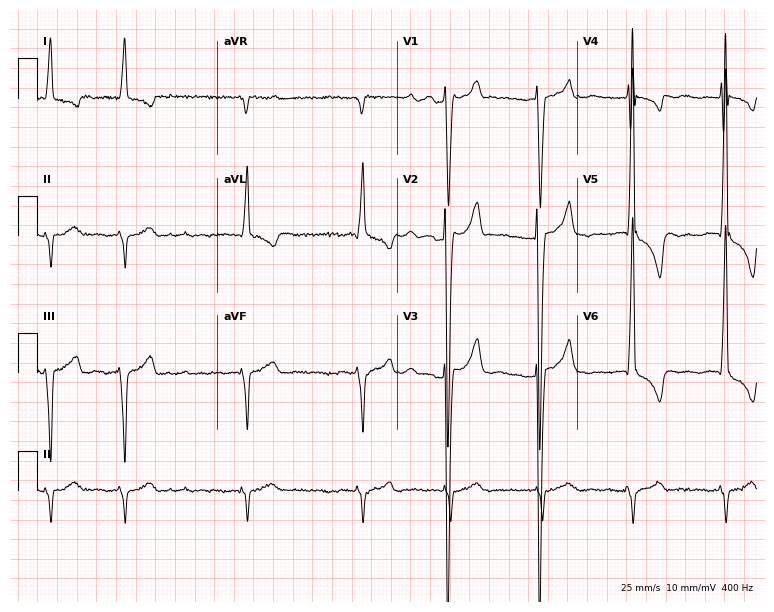
ECG — a 69-year-old male patient. Screened for six findings — first-degree AV block, right bundle branch block, left bundle branch block, sinus bradycardia, atrial fibrillation, sinus tachycardia — none is recorded. Other findings, if any, are not listed.